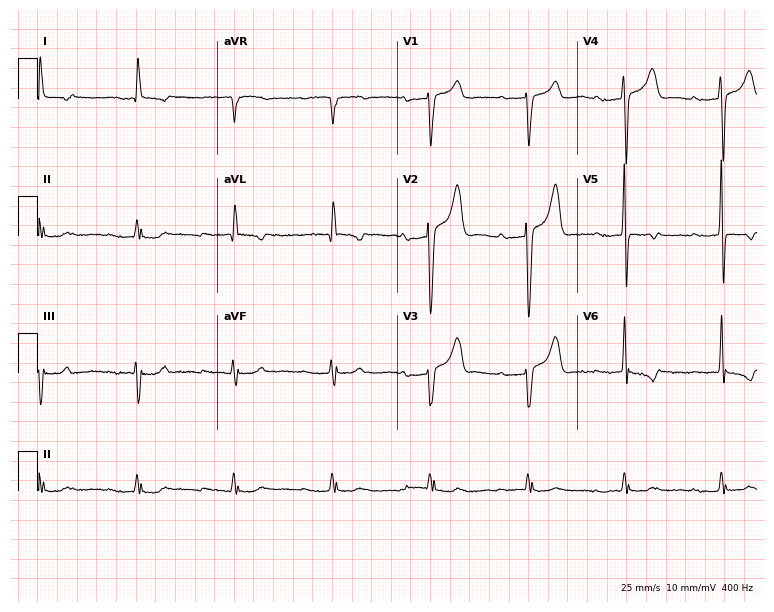
Standard 12-lead ECG recorded from a 73-year-old male. The tracing shows first-degree AV block.